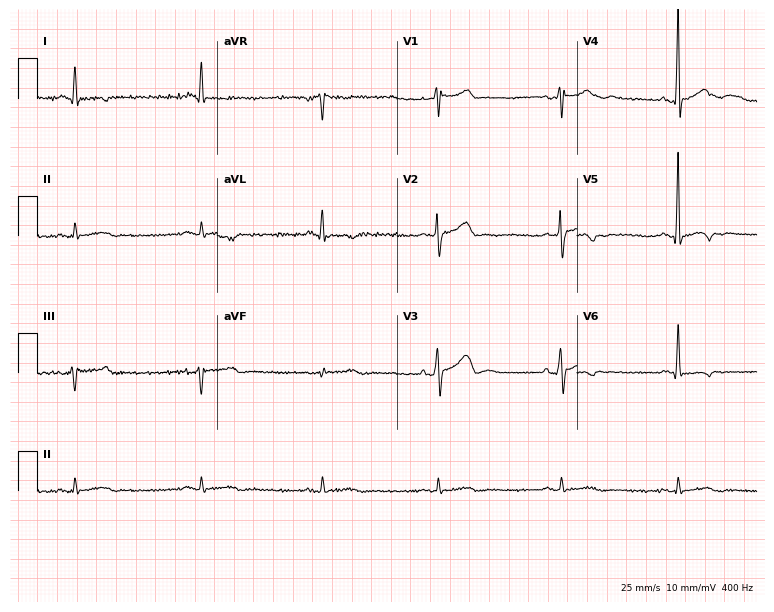
Standard 12-lead ECG recorded from a 67-year-old man (7.3-second recording at 400 Hz). The tracing shows sinus bradycardia (a sinus rate of 50 beats per minute or less).